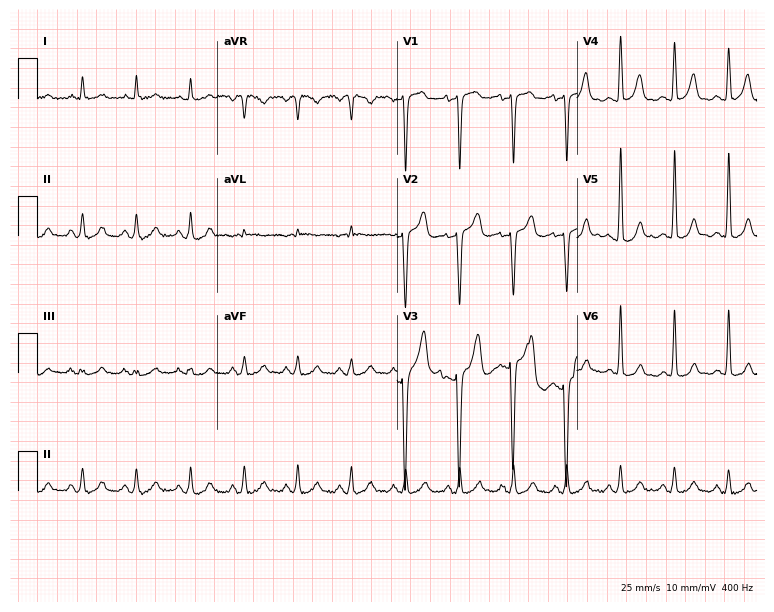
Standard 12-lead ECG recorded from a 72-year-old woman. The tracing shows sinus tachycardia (a sinus rate of 100 beats per minute or more).